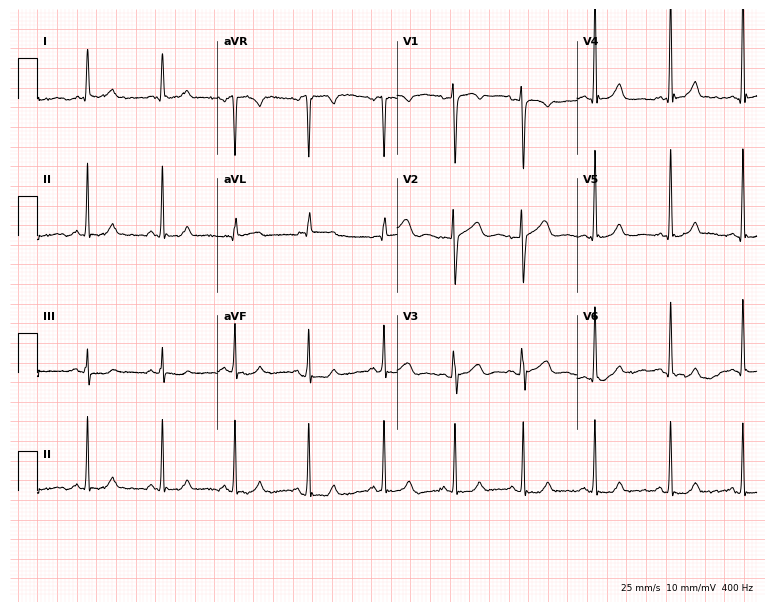
12-lead ECG from a female, 32 years old (7.3-second recording at 400 Hz). Recorded interpretation: within normal limits.